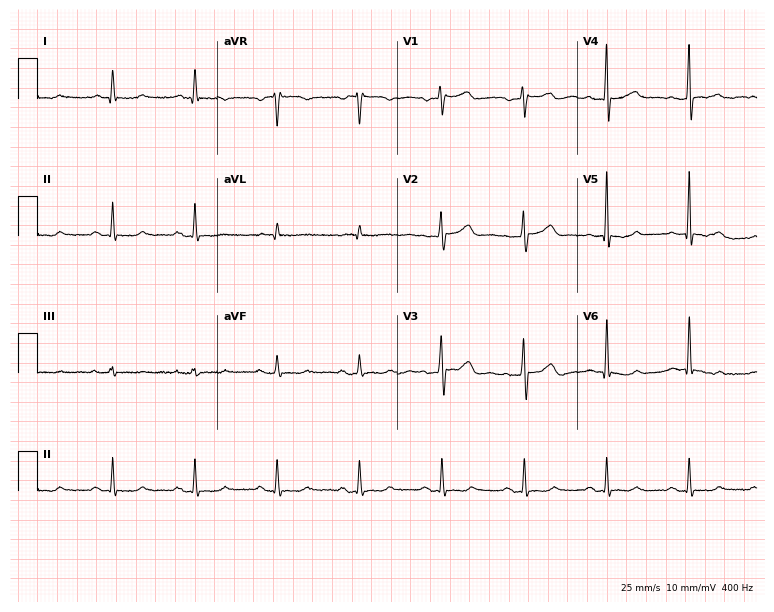
12-lead ECG (7.3-second recording at 400 Hz) from a female, 70 years old. Screened for six findings — first-degree AV block, right bundle branch block, left bundle branch block, sinus bradycardia, atrial fibrillation, sinus tachycardia — none is recorded.